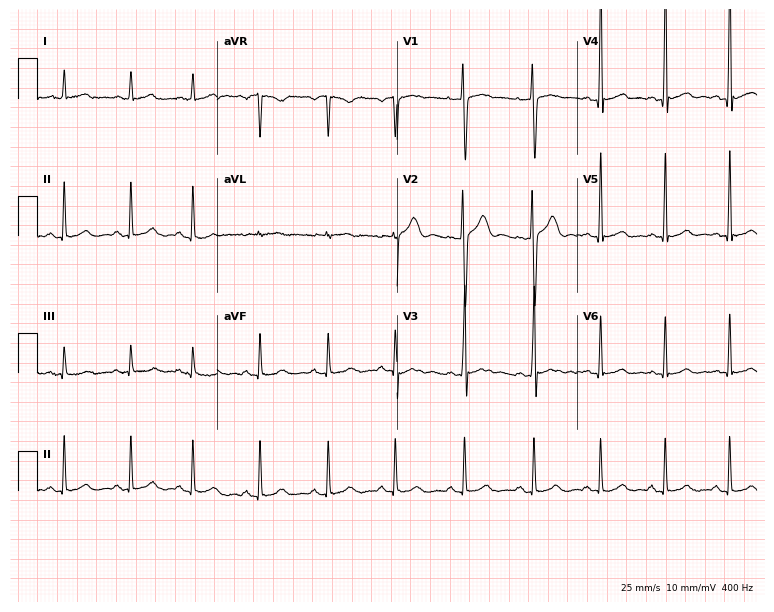
12-lead ECG from an 18-year-old man (7.3-second recording at 400 Hz). Recorded interpretation: within normal limits.